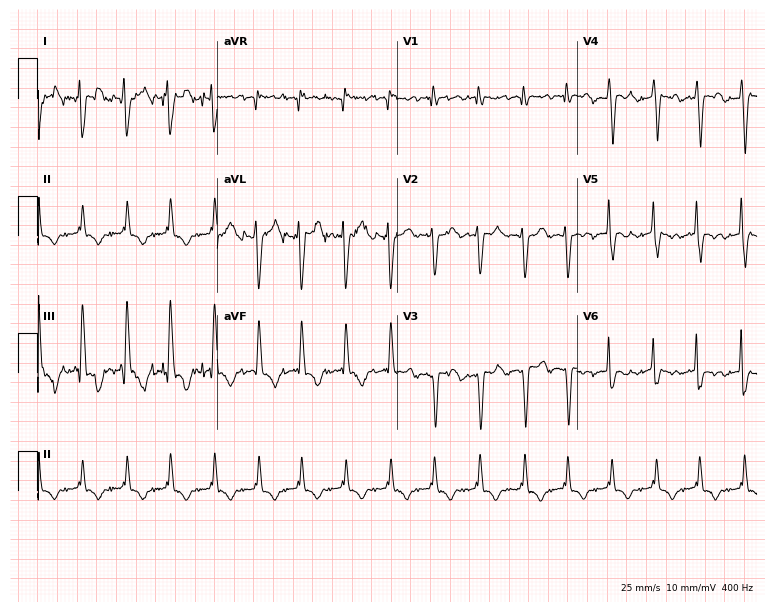
12-lead ECG from a female patient, 75 years old (7.3-second recording at 400 Hz). No first-degree AV block, right bundle branch block, left bundle branch block, sinus bradycardia, atrial fibrillation or sinus tachycardia recorded for this tracing.